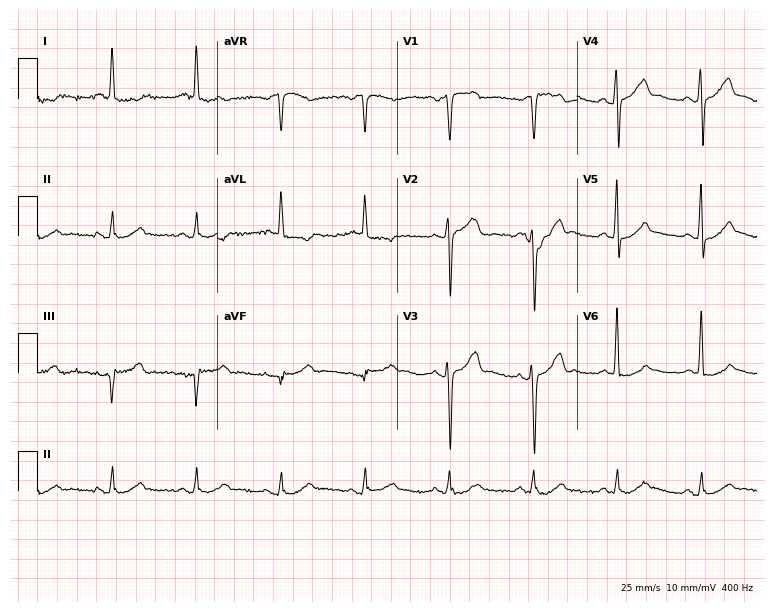
12-lead ECG from a male, 77 years old. Labelled as a normal ECG.